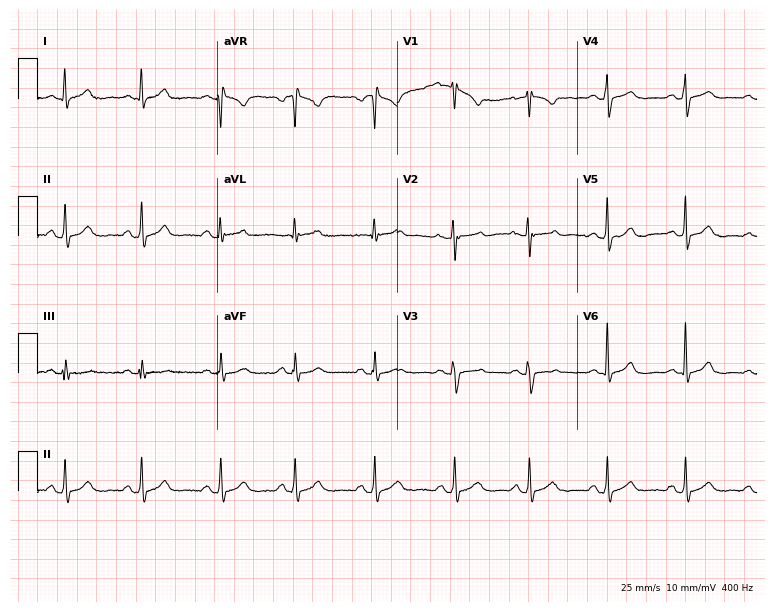
Standard 12-lead ECG recorded from a female, 27 years old. None of these six findings is recorded: first-degree AV block, right bundle branch block, left bundle branch block, sinus bradycardia, atrial fibrillation, sinus tachycardia.